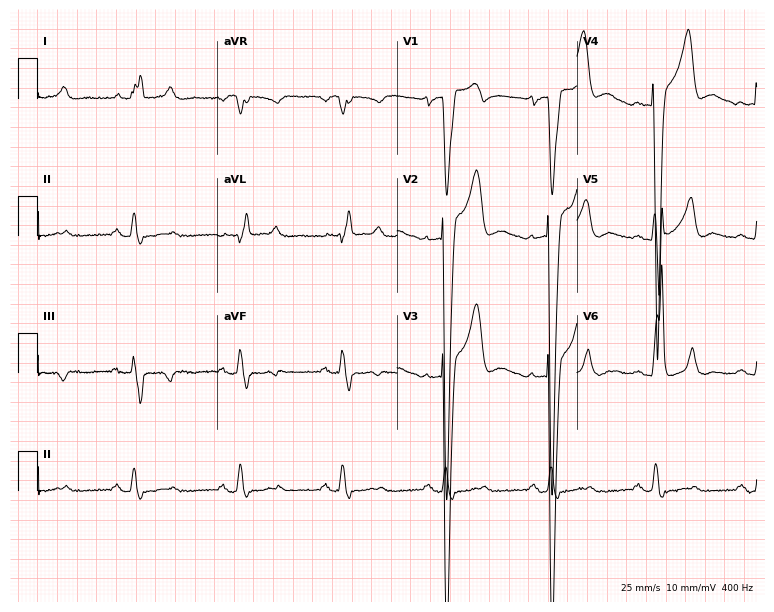
12-lead ECG from a 69-year-old male patient. Shows left bundle branch block (LBBB).